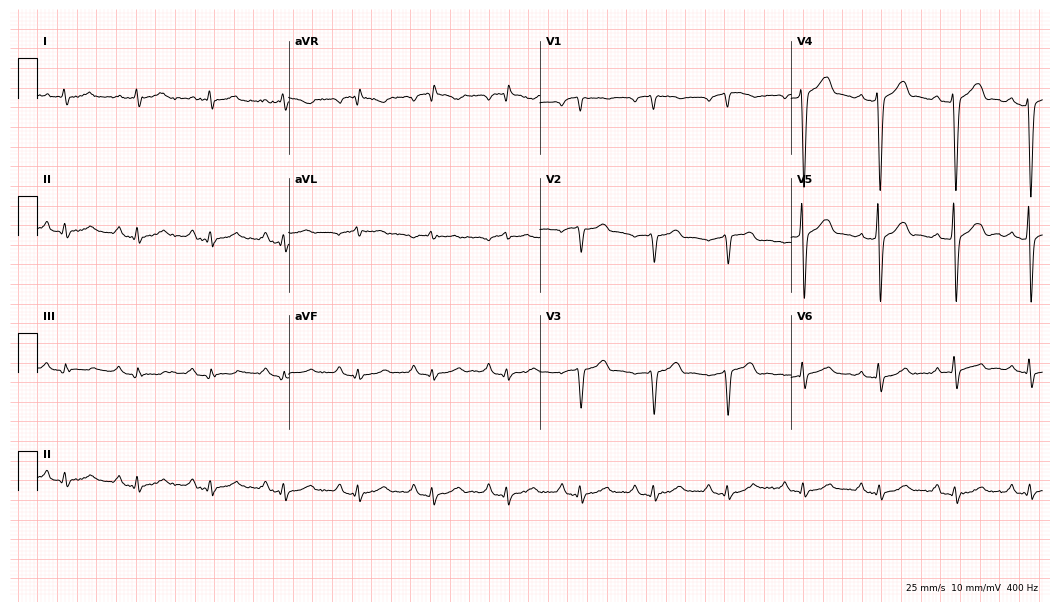
Standard 12-lead ECG recorded from a male patient, 72 years old. None of these six findings is recorded: first-degree AV block, right bundle branch block, left bundle branch block, sinus bradycardia, atrial fibrillation, sinus tachycardia.